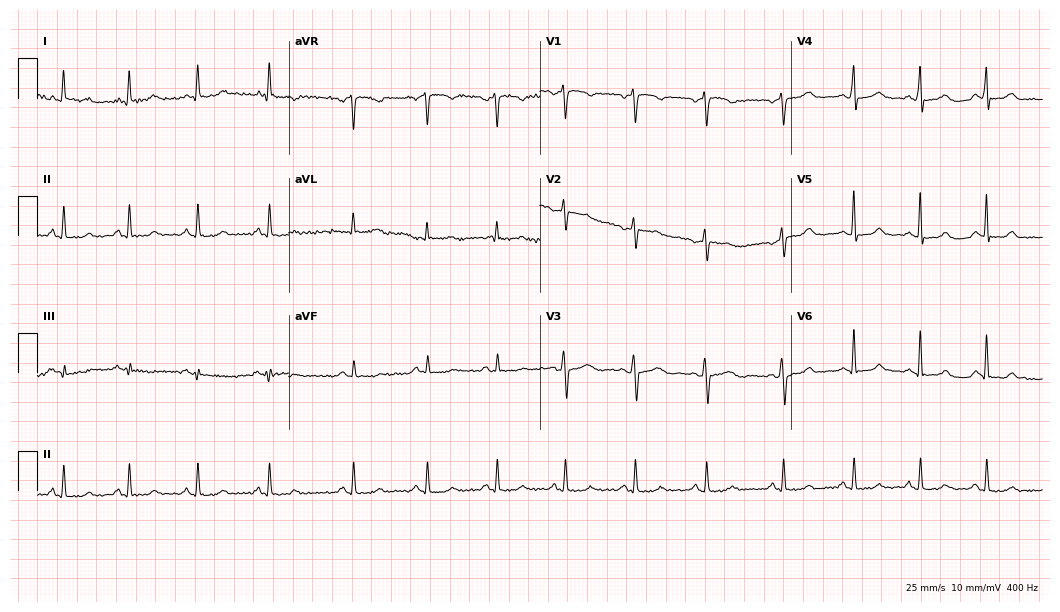
Electrocardiogram (10.2-second recording at 400 Hz), a female patient, 42 years old. Of the six screened findings (first-degree AV block, right bundle branch block, left bundle branch block, sinus bradycardia, atrial fibrillation, sinus tachycardia), none is recorded.